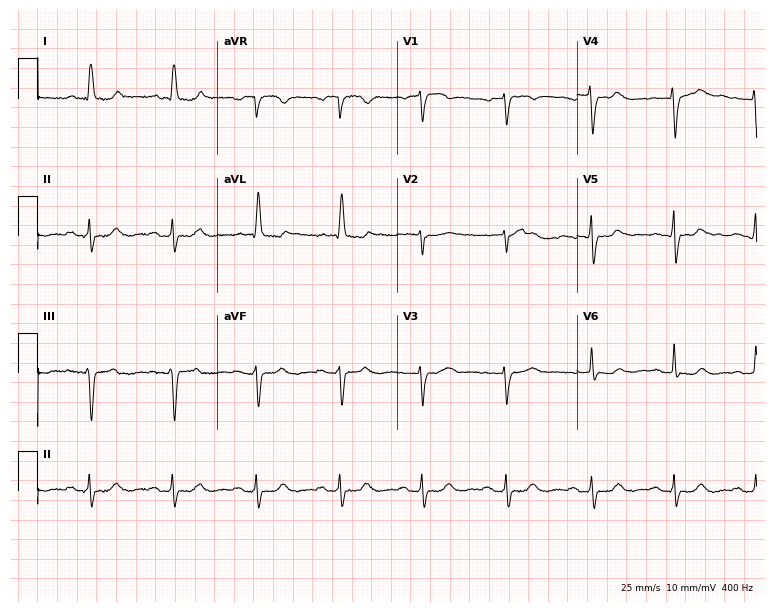
12-lead ECG from a female, 79 years old (7.3-second recording at 400 Hz). Shows first-degree AV block.